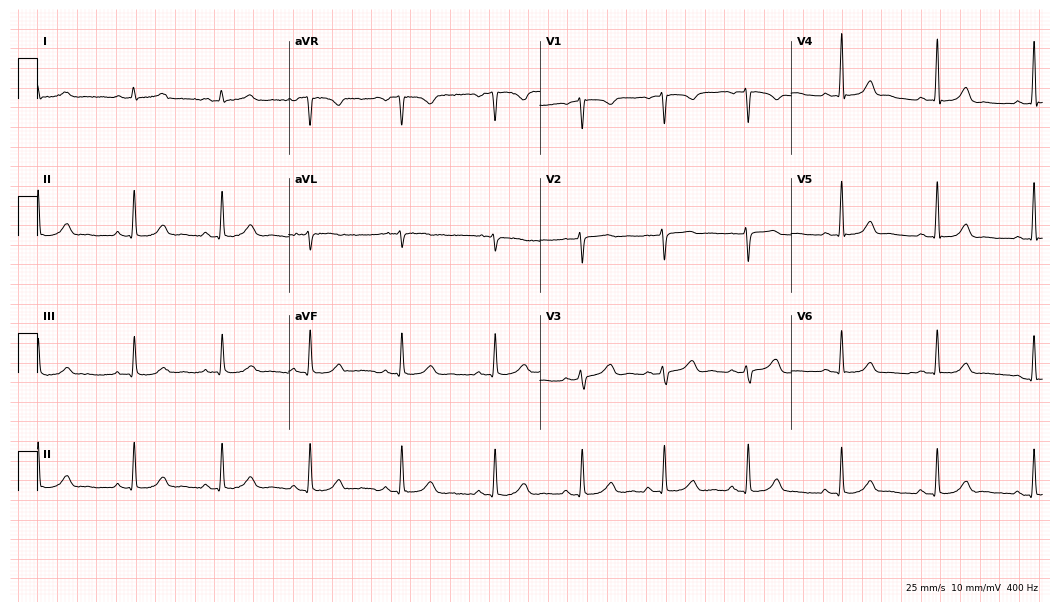
Electrocardiogram, a woman, 50 years old. Of the six screened findings (first-degree AV block, right bundle branch block, left bundle branch block, sinus bradycardia, atrial fibrillation, sinus tachycardia), none is recorded. Findings outside these six are not listed.